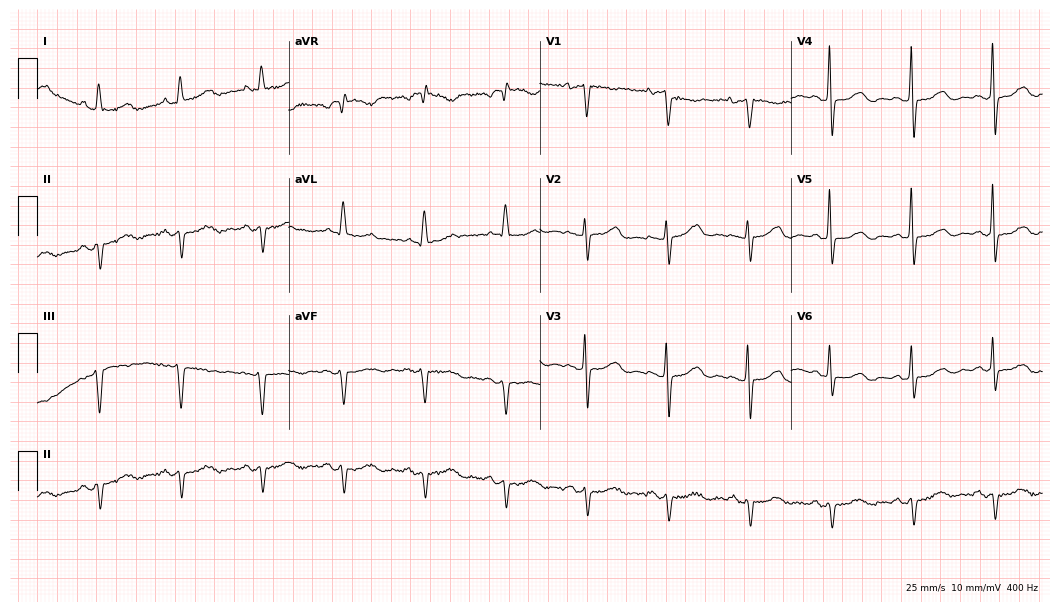
12-lead ECG from a 77-year-old woman (10.2-second recording at 400 Hz). No first-degree AV block, right bundle branch block, left bundle branch block, sinus bradycardia, atrial fibrillation or sinus tachycardia recorded for this tracing. Findings outside these six are not listed.